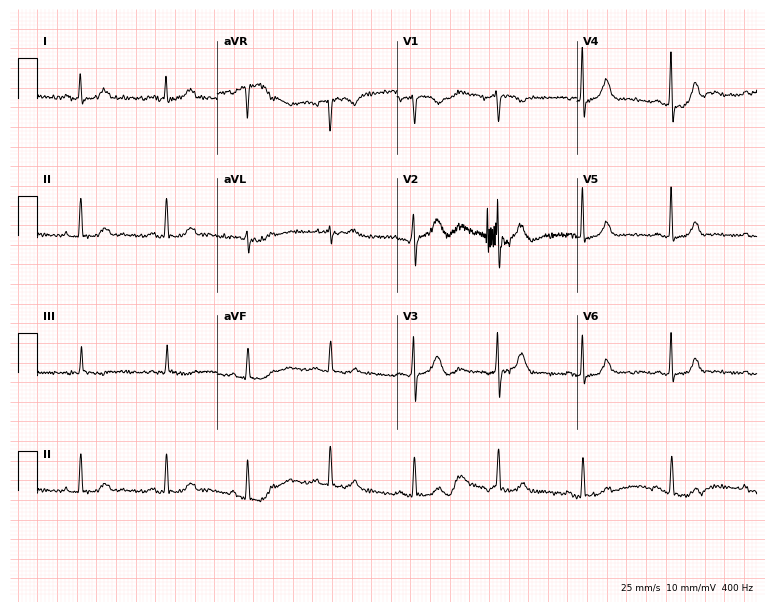
ECG — a 43-year-old female patient. Screened for six findings — first-degree AV block, right bundle branch block (RBBB), left bundle branch block (LBBB), sinus bradycardia, atrial fibrillation (AF), sinus tachycardia — none is recorded. Only these six findings were labelled.